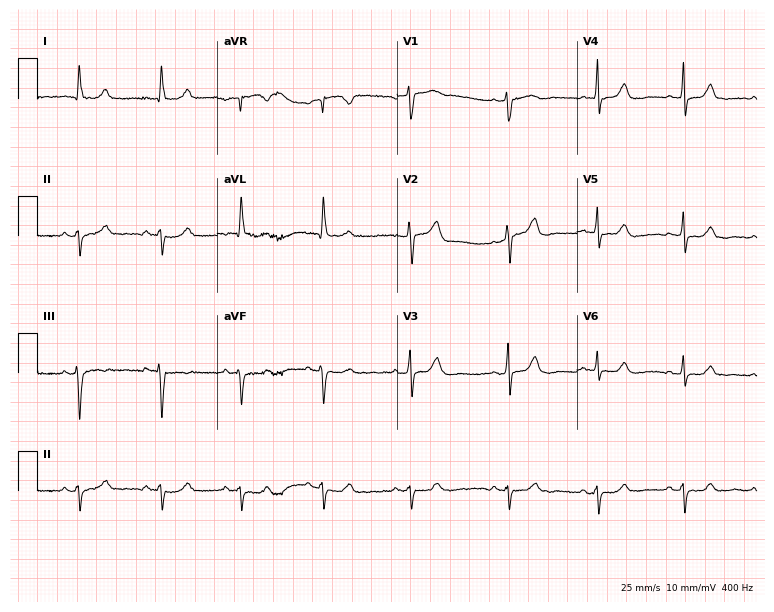
12-lead ECG from a 71-year-old female patient (7.3-second recording at 400 Hz). No first-degree AV block, right bundle branch block (RBBB), left bundle branch block (LBBB), sinus bradycardia, atrial fibrillation (AF) or sinus tachycardia recorded for this tracing.